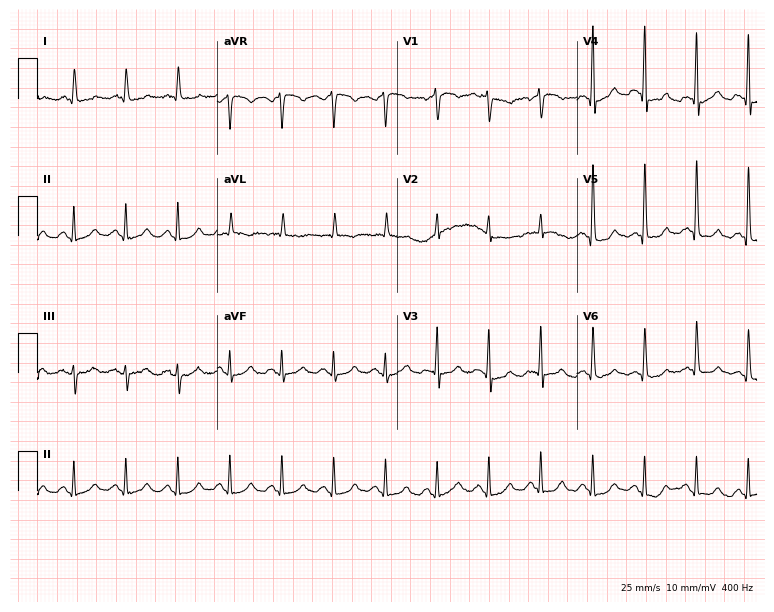
12-lead ECG from a 78-year-old female patient. Findings include sinus tachycardia (a sinus rate of 100 beats per minute or more).